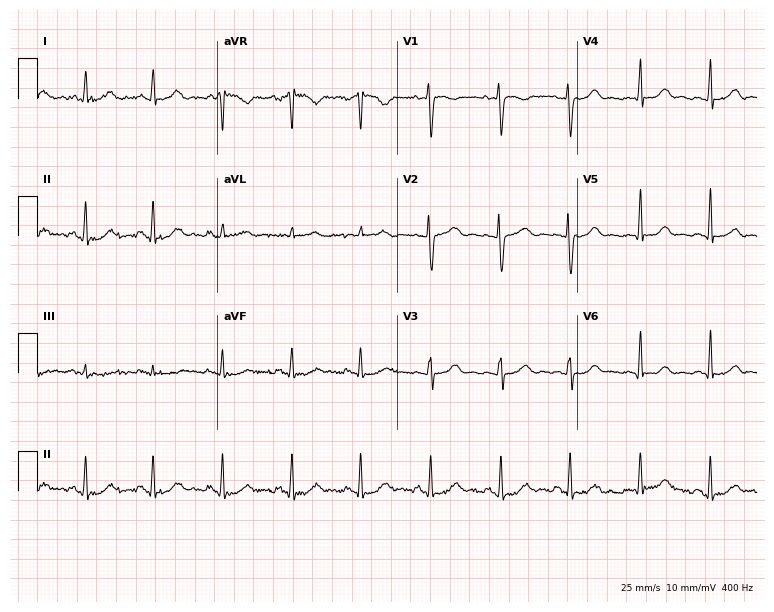
ECG — a 32-year-old woman. Labelled as a normal ECG.